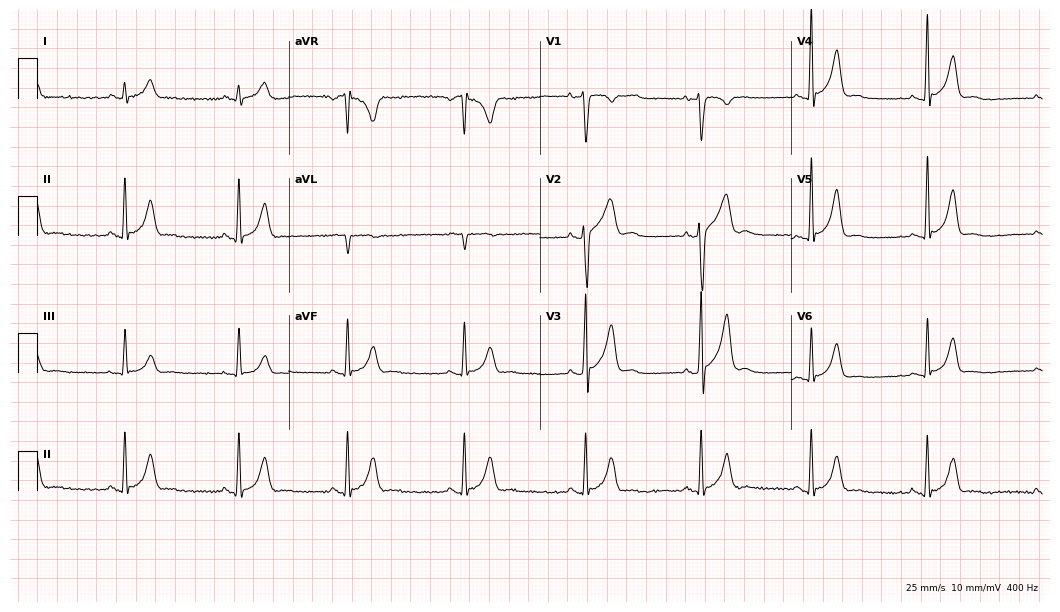
ECG (10.2-second recording at 400 Hz) — a 33-year-old male patient. Screened for six findings — first-degree AV block, right bundle branch block, left bundle branch block, sinus bradycardia, atrial fibrillation, sinus tachycardia — none is recorded. Other findings, if any, are not listed.